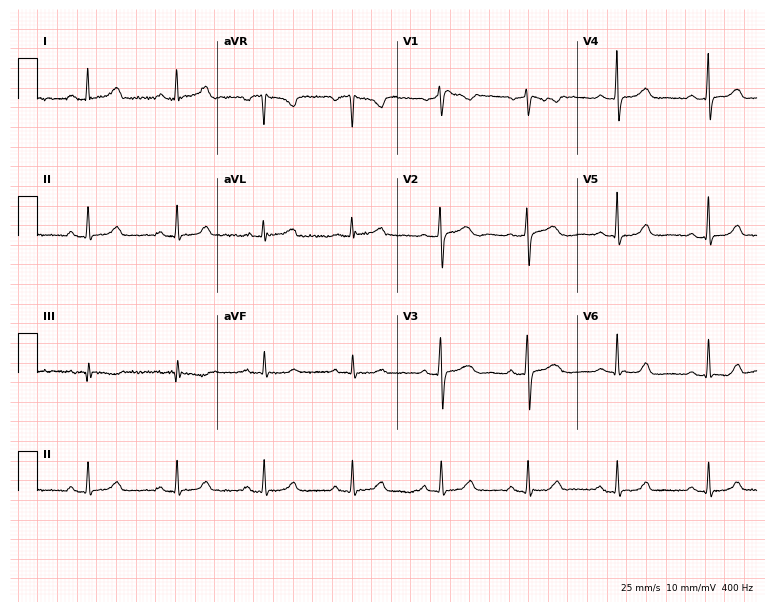
Resting 12-lead electrocardiogram. Patient: a female, 54 years old. Read as a normal ECG.